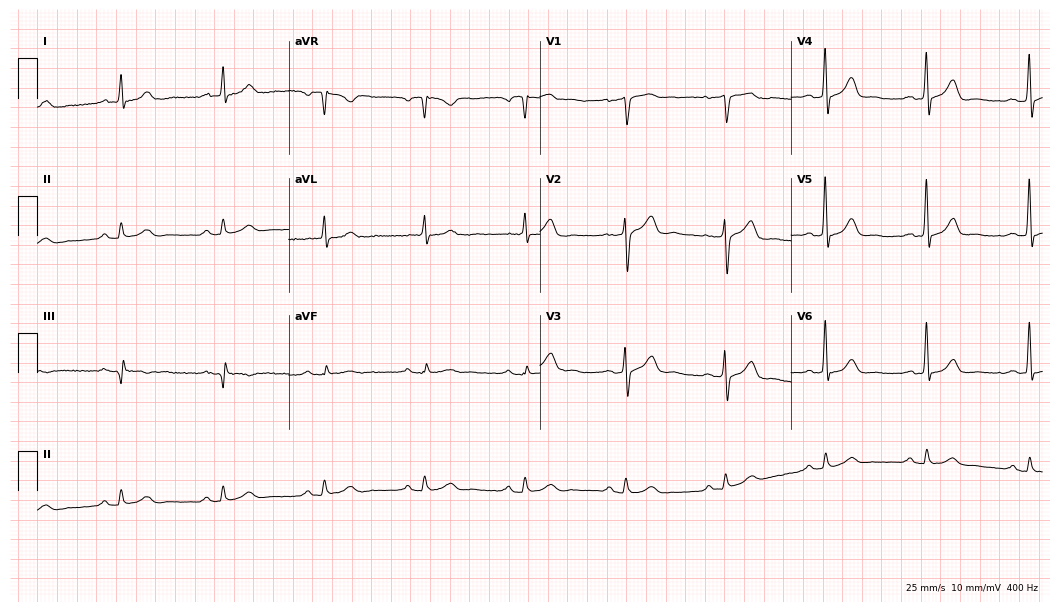
Resting 12-lead electrocardiogram. Patient: a male, 64 years old. Read as a normal ECG.